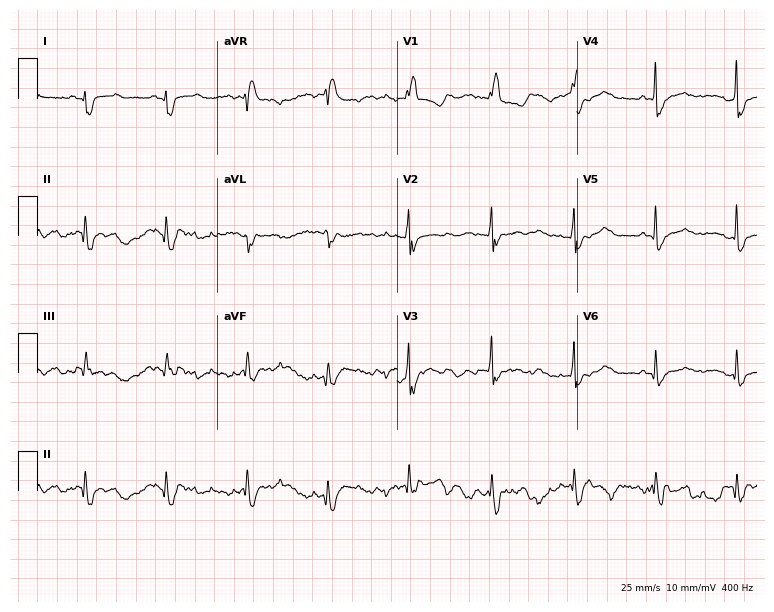
Standard 12-lead ECG recorded from a woman, 60 years old. None of these six findings is recorded: first-degree AV block, right bundle branch block, left bundle branch block, sinus bradycardia, atrial fibrillation, sinus tachycardia.